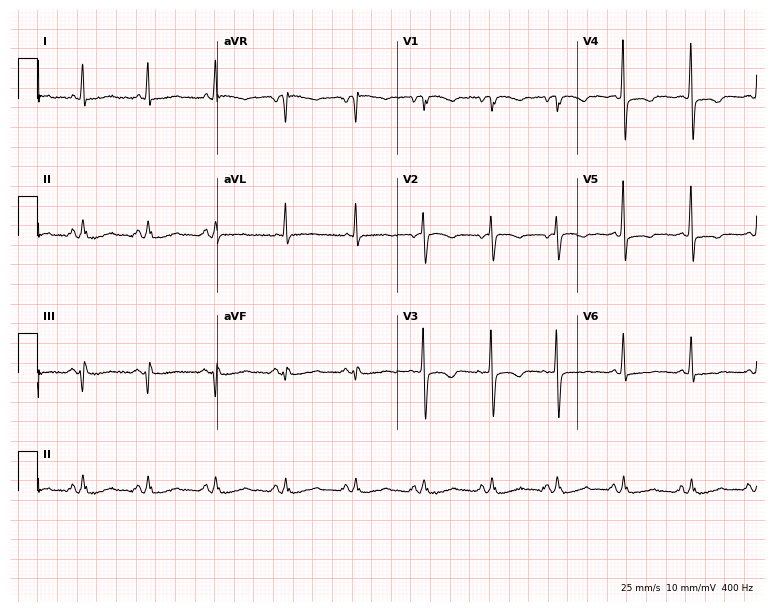
Electrocardiogram (7.3-second recording at 400 Hz), a woman, 61 years old. Of the six screened findings (first-degree AV block, right bundle branch block, left bundle branch block, sinus bradycardia, atrial fibrillation, sinus tachycardia), none is recorded.